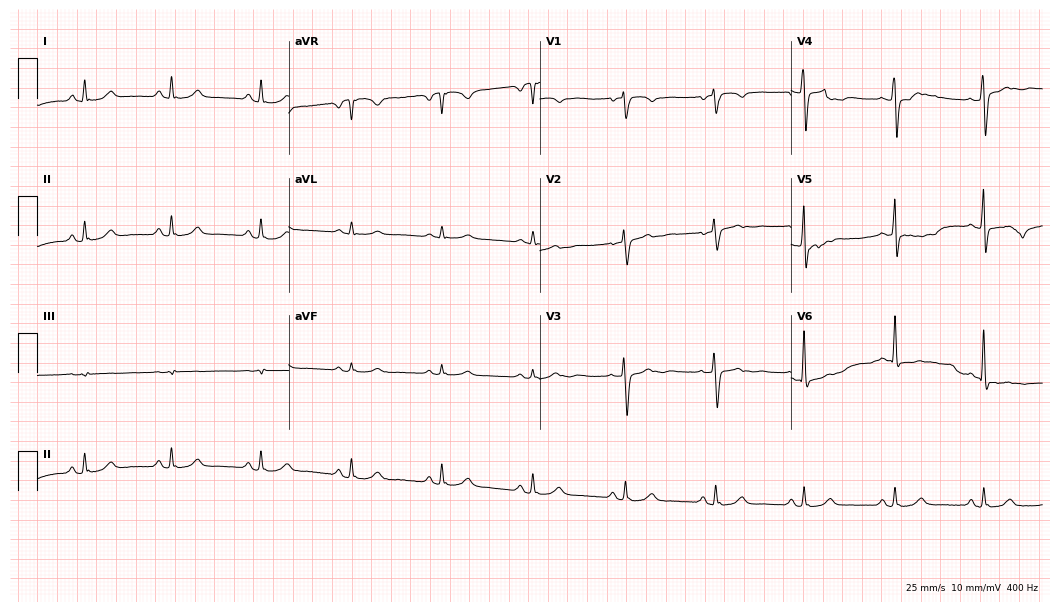
Standard 12-lead ECG recorded from a female patient, 78 years old. None of these six findings is recorded: first-degree AV block, right bundle branch block (RBBB), left bundle branch block (LBBB), sinus bradycardia, atrial fibrillation (AF), sinus tachycardia. Only these six findings were labelled.